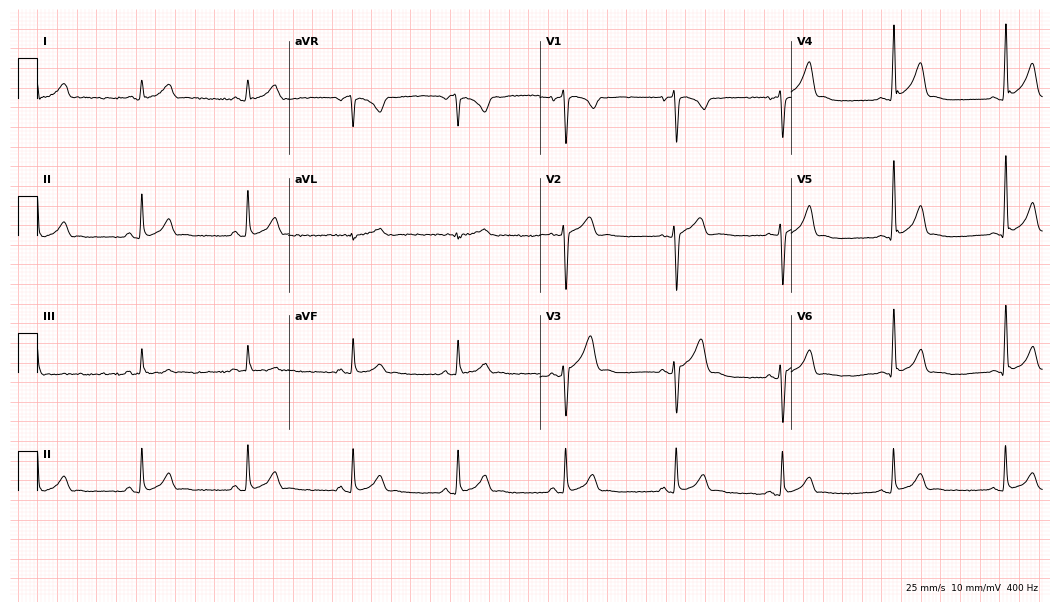
Electrocardiogram (10.2-second recording at 400 Hz), a 26-year-old man. Overall reading on record: normal ECG.